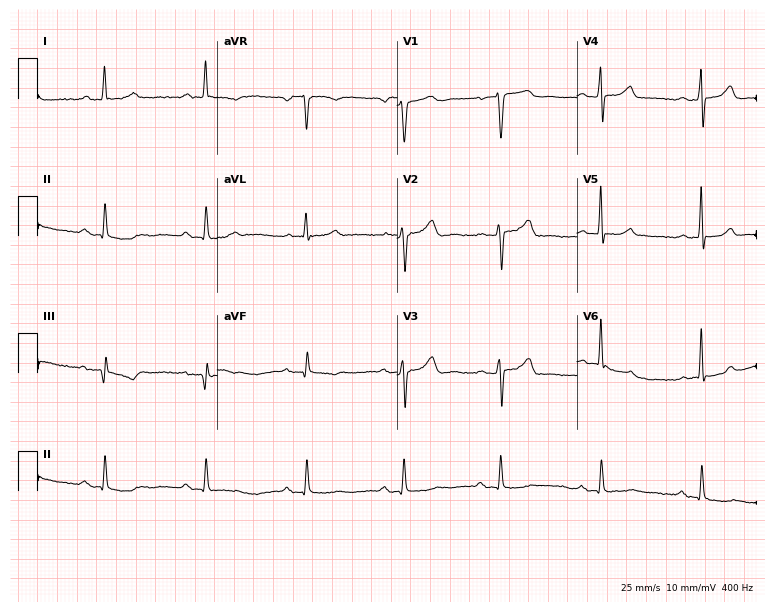
12-lead ECG from a woman, 70 years old. No first-degree AV block, right bundle branch block, left bundle branch block, sinus bradycardia, atrial fibrillation or sinus tachycardia recorded for this tracing. Only these six findings were labelled.